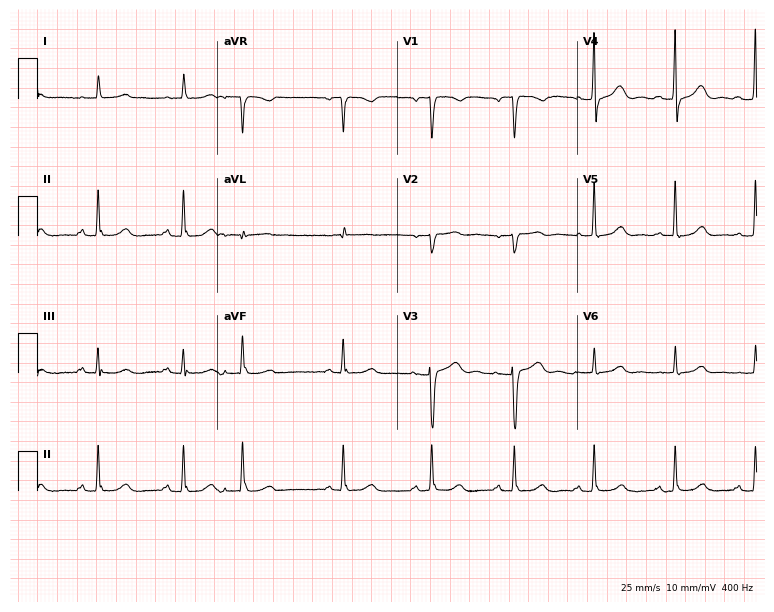
ECG — a woman, 78 years old. Labelled as a normal ECG.